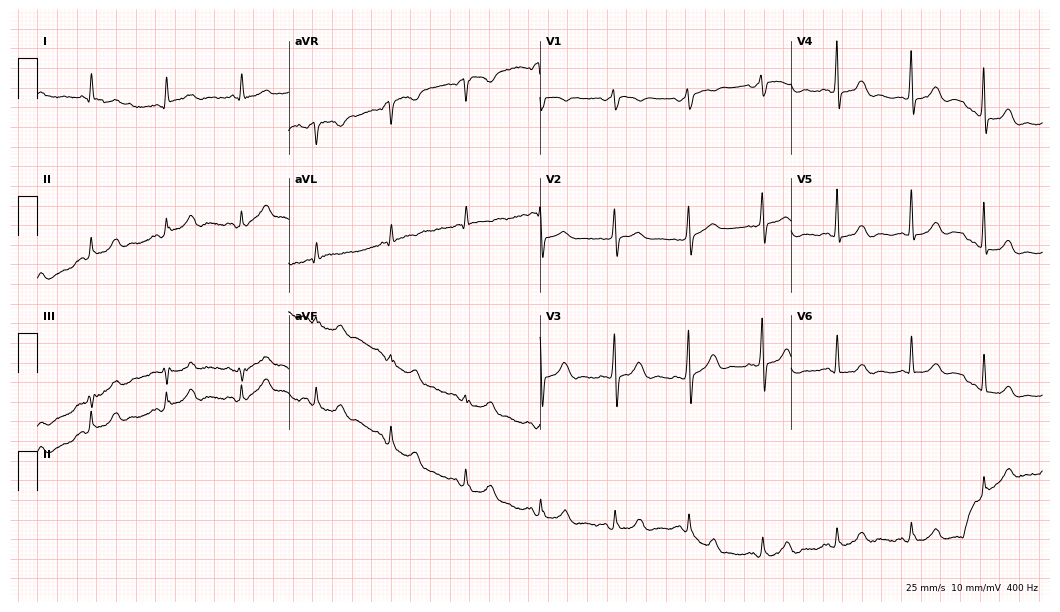
Electrocardiogram (10.2-second recording at 400 Hz), a male patient, 84 years old. Of the six screened findings (first-degree AV block, right bundle branch block, left bundle branch block, sinus bradycardia, atrial fibrillation, sinus tachycardia), none is recorded. Other findings, if any, are not listed.